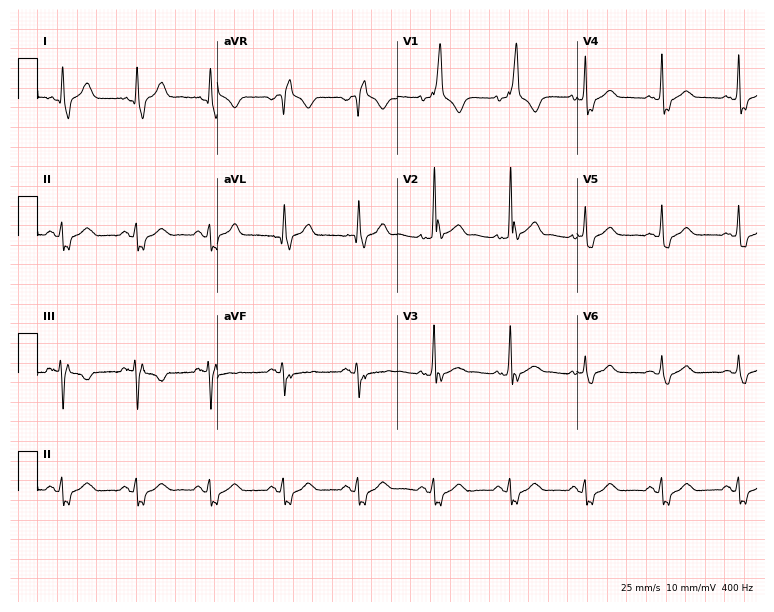
12-lead ECG from a 70-year-old male. Findings include right bundle branch block.